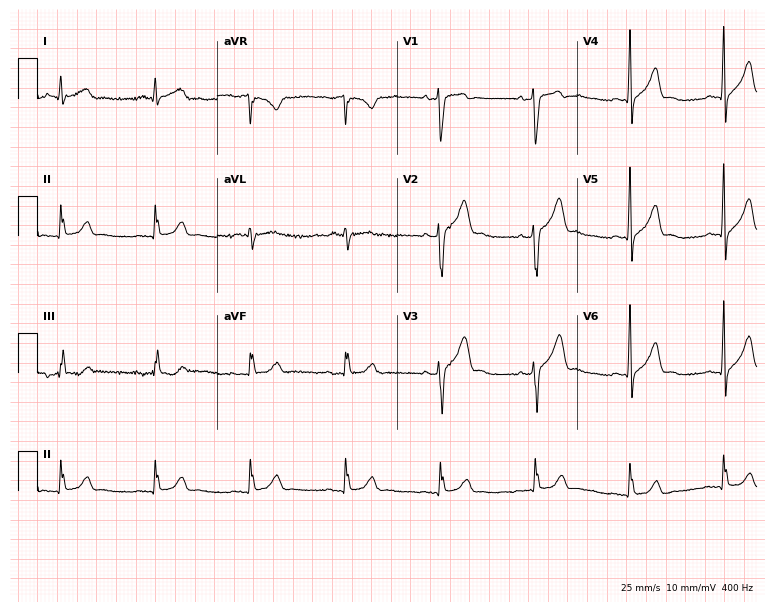
Resting 12-lead electrocardiogram (7.3-second recording at 400 Hz). Patient: a 47-year-old man. None of these six findings is recorded: first-degree AV block, right bundle branch block (RBBB), left bundle branch block (LBBB), sinus bradycardia, atrial fibrillation (AF), sinus tachycardia.